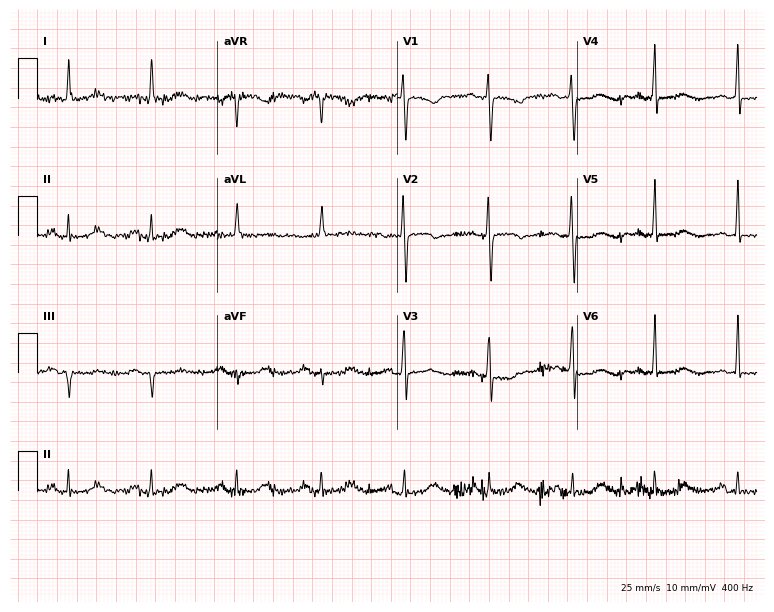
12-lead ECG from a female, 68 years old. Screened for six findings — first-degree AV block, right bundle branch block (RBBB), left bundle branch block (LBBB), sinus bradycardia, atrial fibrillation (AF), sinus tachycardia — none is recorded. Other findings, if any, are not listed.